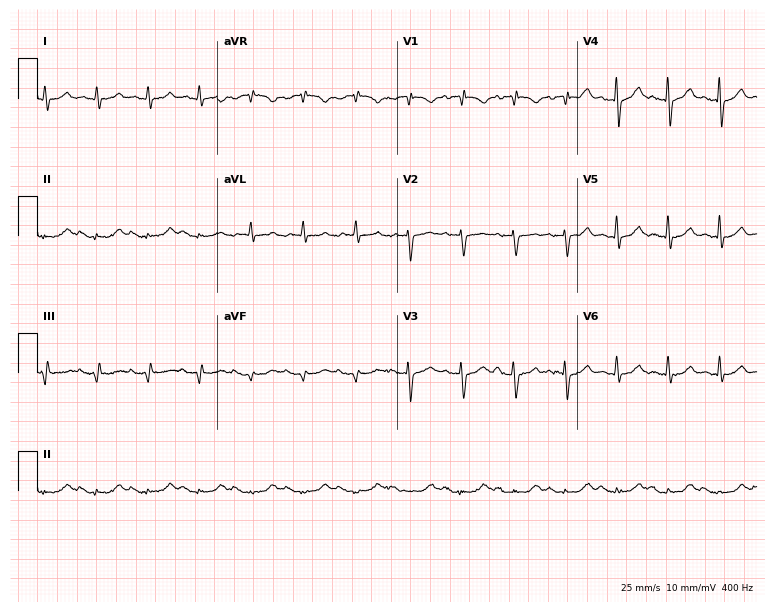
ECG — a 68-year-old male patient. Screened for six findings — first-degree AV block, right bundle branch block, left bundle branch block, sinus bradycardia, atrial fibrillation, sinus tachycardia — none is recorded.